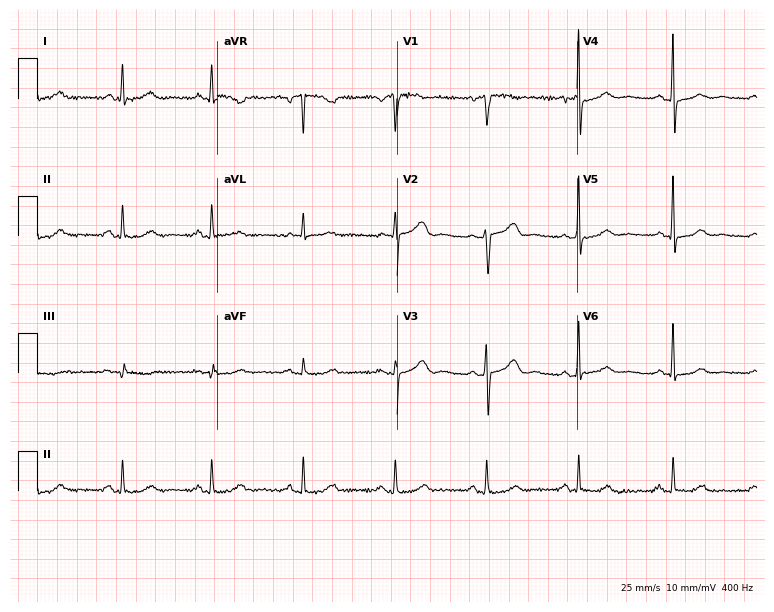
ECG (7.3-second recording at 400 Hz) — a female patient, 59 years old. Screened for six findings — first-degree AV block, right bundle branch block, left bundle branch block, sinus bradycardia, atrial fibrillation, sinus tachycardia — none is recorded.